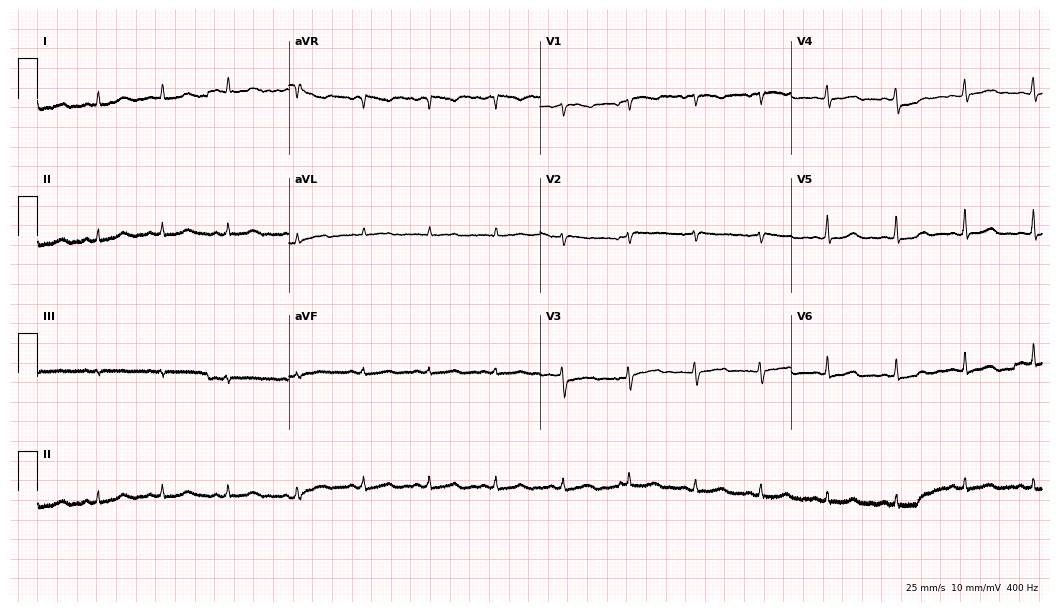
ECG (10.2-second recording at 400 Hz) — a 50-year-old female. Labelled as a normal ECG.